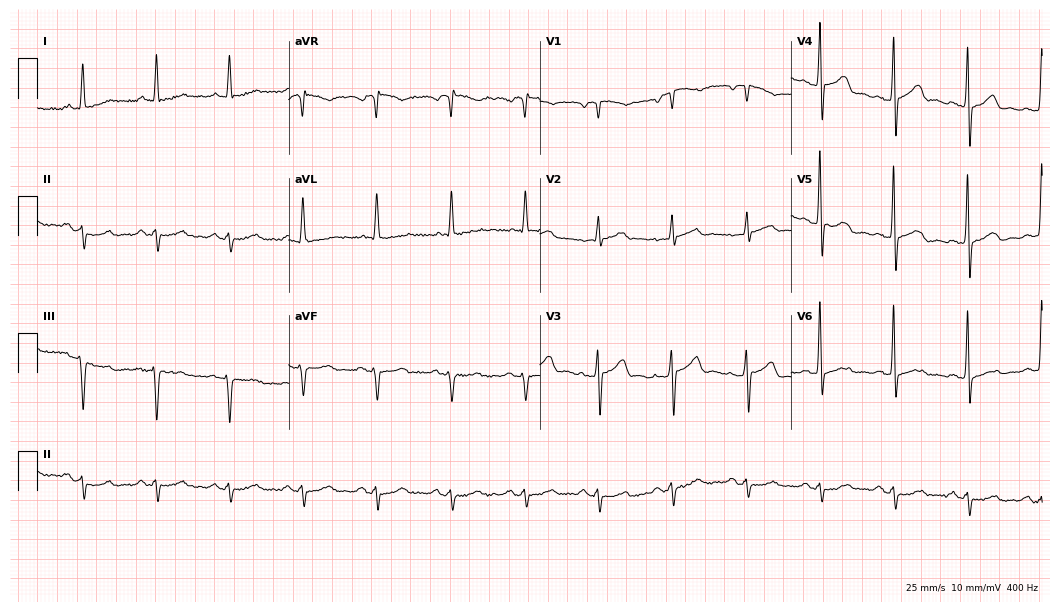
Resting 12-lead electrocardiogram (10.2-second recording at 400 Hz). Patient: a man, 69 years old. None of these six findings is recorded: first-degree AV block, right bundle branch block (RBBB), left bundle branch block (LBBB), sinus bradycardia, atrial fibrillation (AF), sinus tachycardia. Other findings, if any, are not listed.